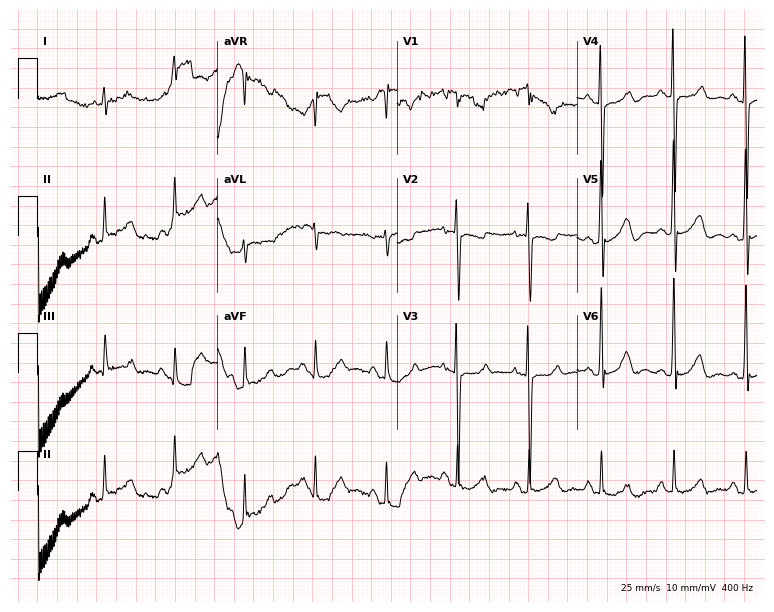
Electrocardiogram, a male, 74 years old. Of the six screened findings (first-degree AV block, right bundle branch block (RBBB), left bundle branch block (LBBB), sinus bradycardia, atrial fibrillation (AF), sinus tachycardia), none is recorded.